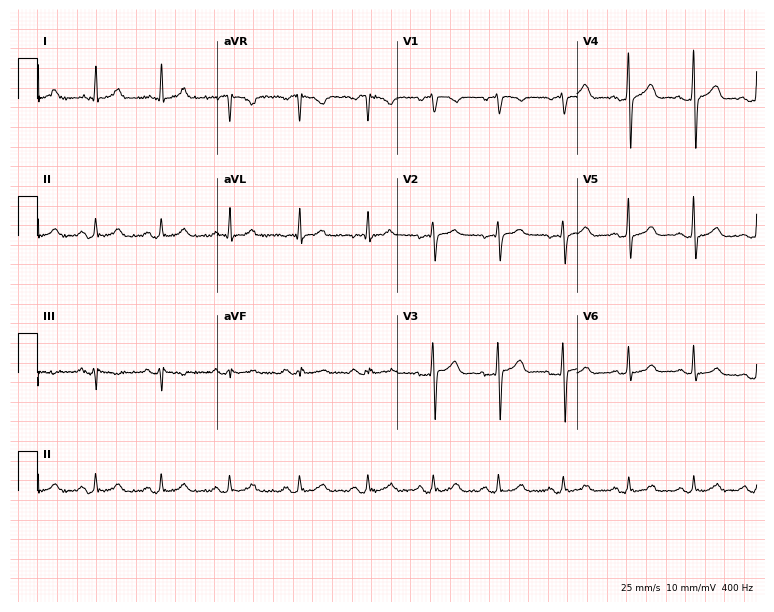
12-lead ECG from a male, 52 years old. Labelled as a normal ECG.